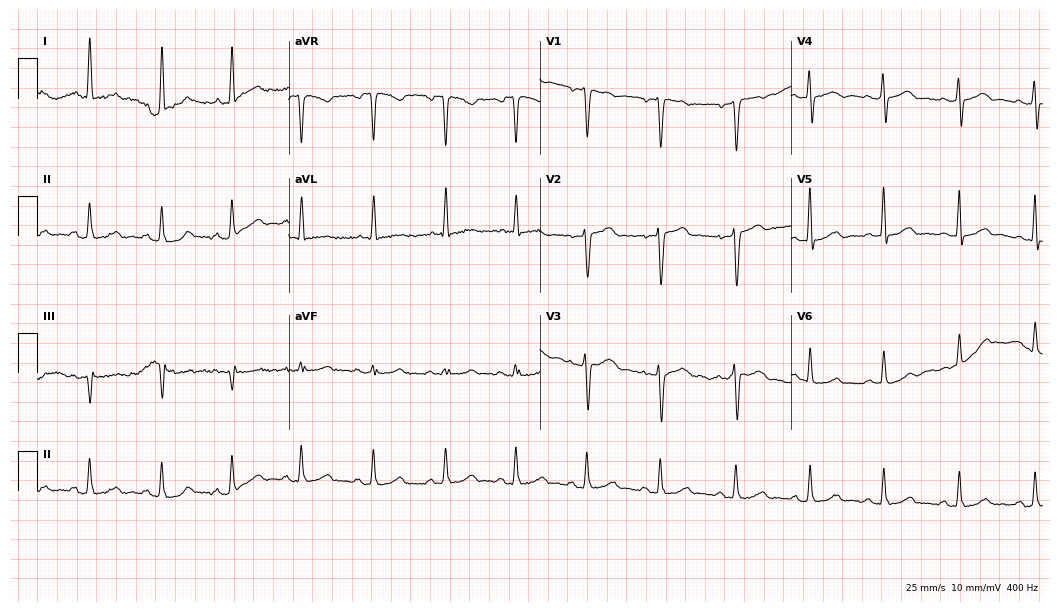
Electrocardiogram (10.2-second recording at 400 Hz), a 41-year-old woman. Of the six screened findings (first-degree AV block, right bundle branch block, left bundle branch block, sinus bradycardia, atrial fibrillation, sinus tachycardia), none is recorded.